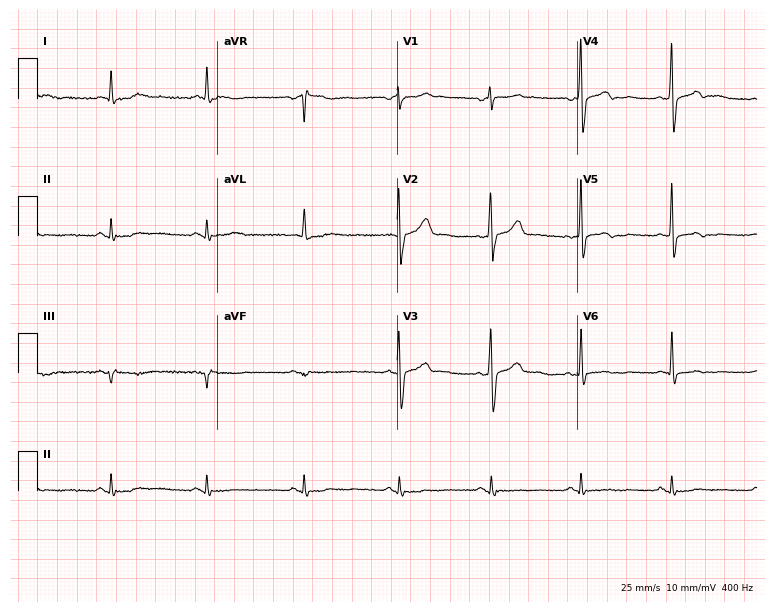
Resting 12-lead electrocardiogram (7.3-second recording at 400 Hz). Patient: a man, 39 years old. None of these six findings is recorded: first-degree AV block, right bundle branch block (RBBB), left bundle branch block (LBBB), sinus bradycardia, atrial fibrillation (AF), sinus tachycardia. Findings outside these six are not listed.